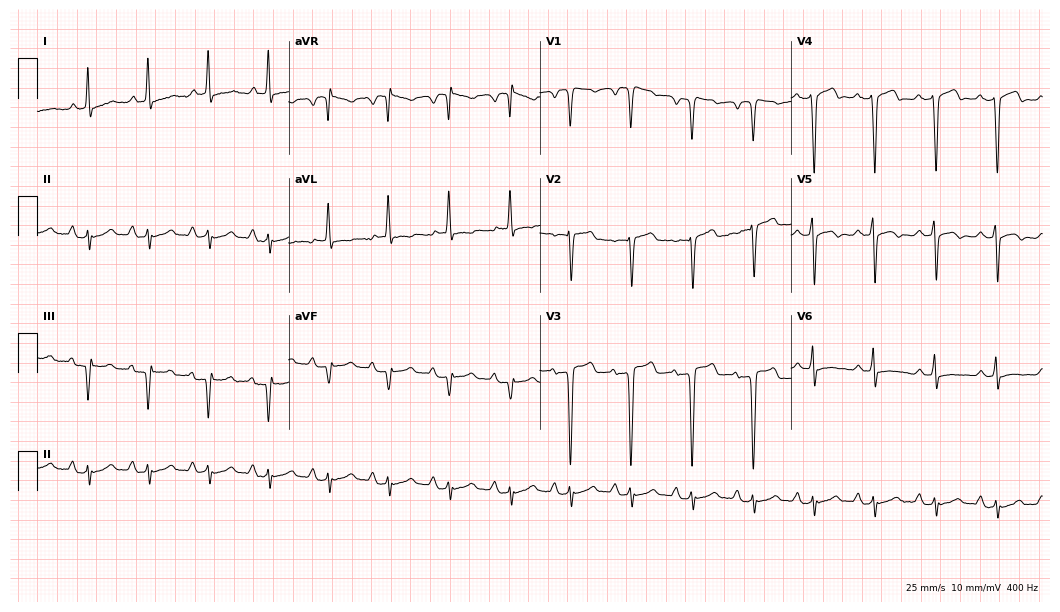
Resting 12-lead electrocardiogram. Patient: a 75-year-old female. None of these six findings is recorded: first-degree AV block, right bundle branch block, left bundle branch block, sinus bradycardia, atrial fibrillation, sinus tachycardia. Only these six findings were labelled.